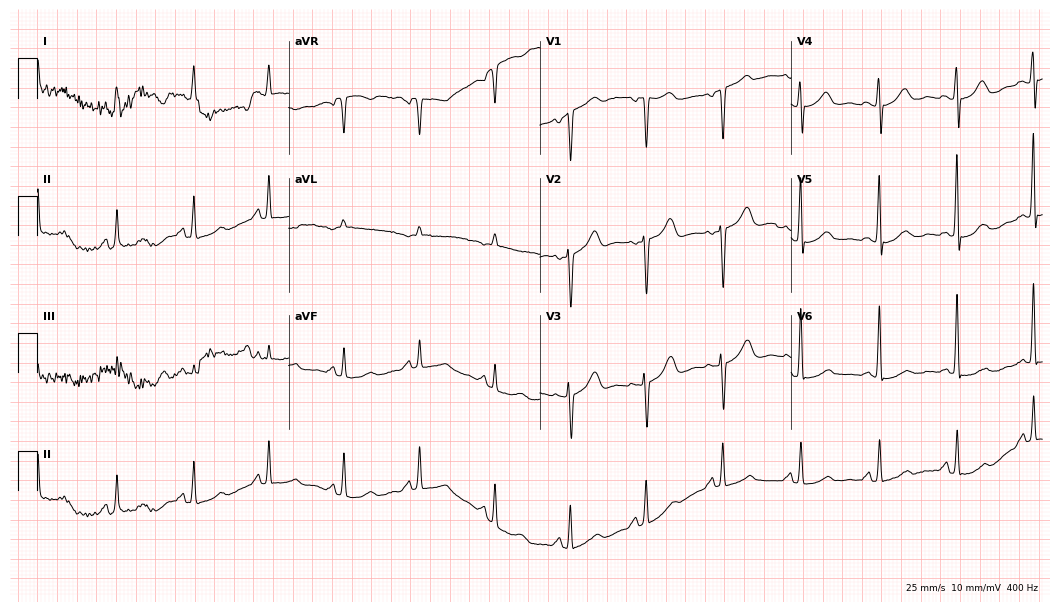
Resting 12-lead electrocardiogram. Patient: a female, 52 years old. Read as a normal ECG.